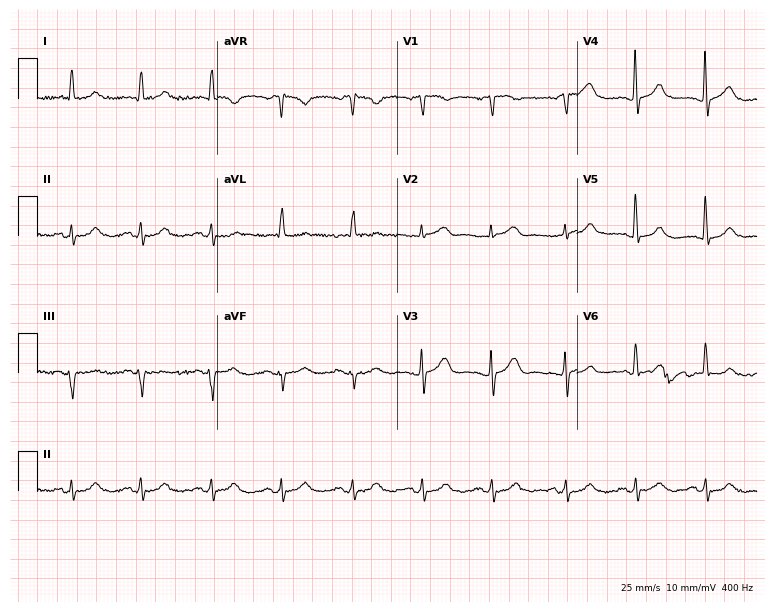
ECG — a female, 78 years old. Screened for six findings — first-degree AV block, right bundle branch block, left bundle branch block, sinus bradycardia, atrial fibrillation, sinus tachycardia — none is recorded. Only these six findings were labelled.